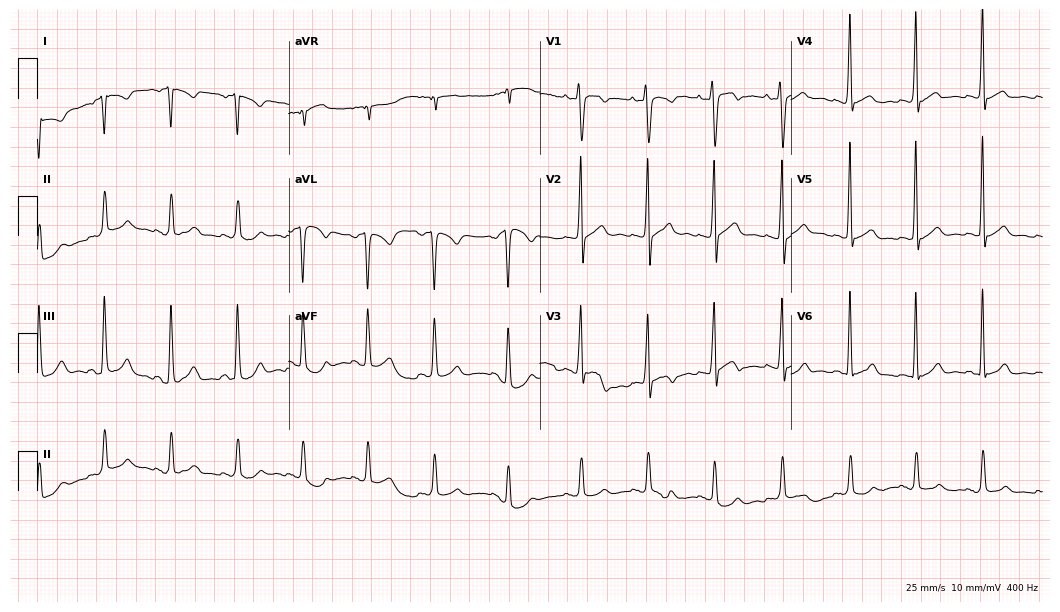
ECG (10.2-second recording at 400 Hz) — a 30-year-old male. Screened for six findings — first-degree AV block, right bundle branch block (RBBB), left bundle branch block (LBBB), sinus bradycardia, atrial fibrillation (AF), sinus tachycardia — none is recorded.